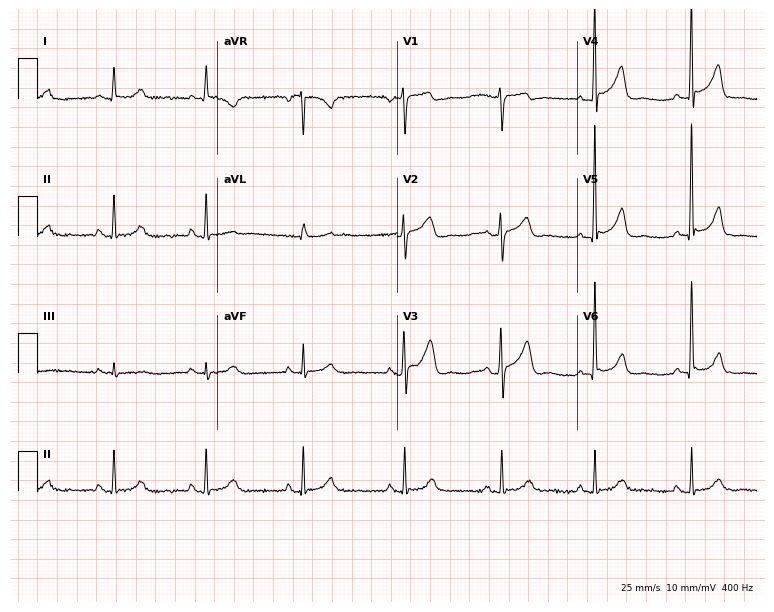
12-lead ECG from a male, 74 years old (7.3-second recording at 400 Hz). No first-degree AV block, right bundle branch block (RBBB), left bundle branch block (LBBB), sinus bradycardia, atrial fibrillation (AF) or sinus tachycardia recorded for this tracing.